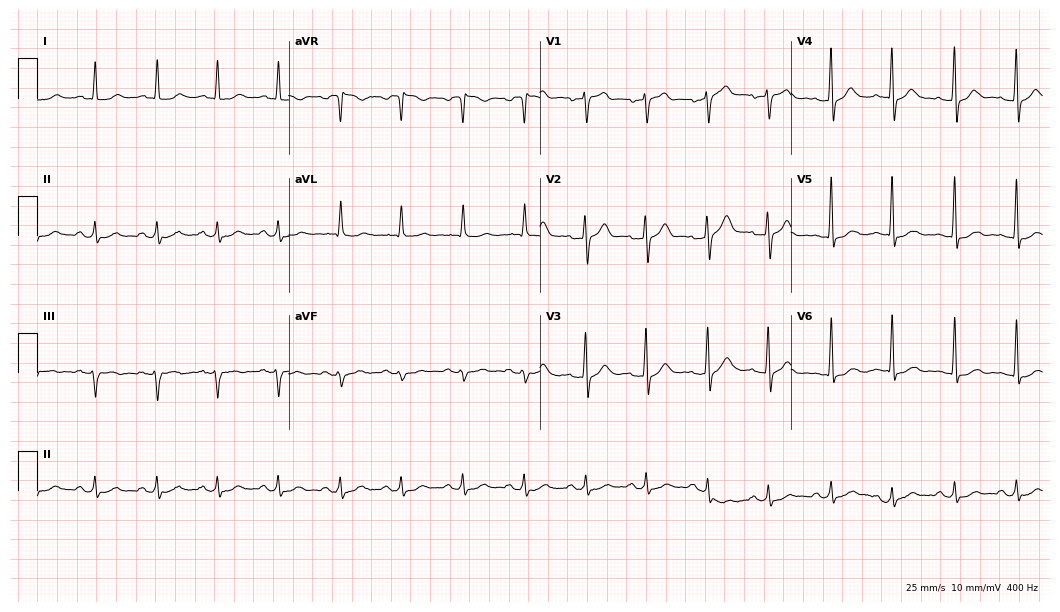
Electrocardiogram (10.2-second recording at 400 Hz), a male, 60 years old. Overall reading on record: normal ECG.